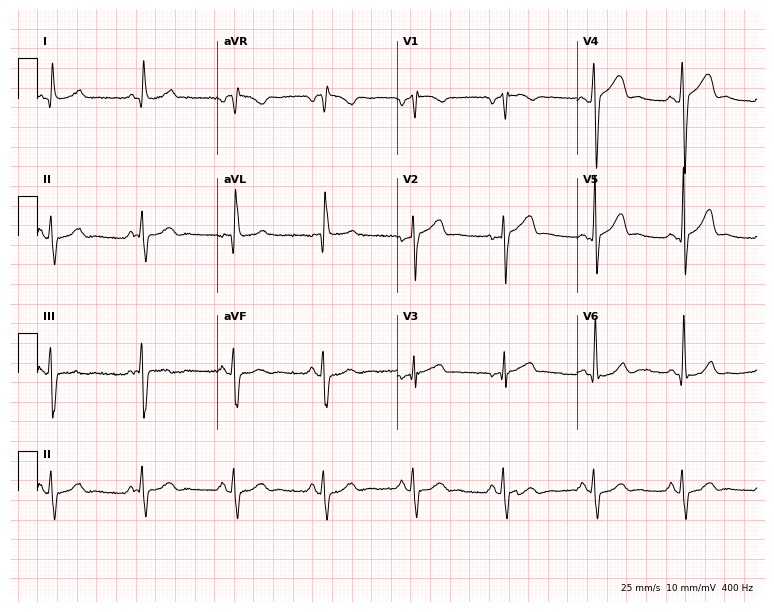
Resting 12-lead electrocardiogram. Patient: a 65-year-old man. None of these six findings is recorded: first-degree AV block, right bundle branch block, left bundle branch block, sinus bradycardia, atrial fibrillation, sinus tachycardia. Only these six findings were labelled.